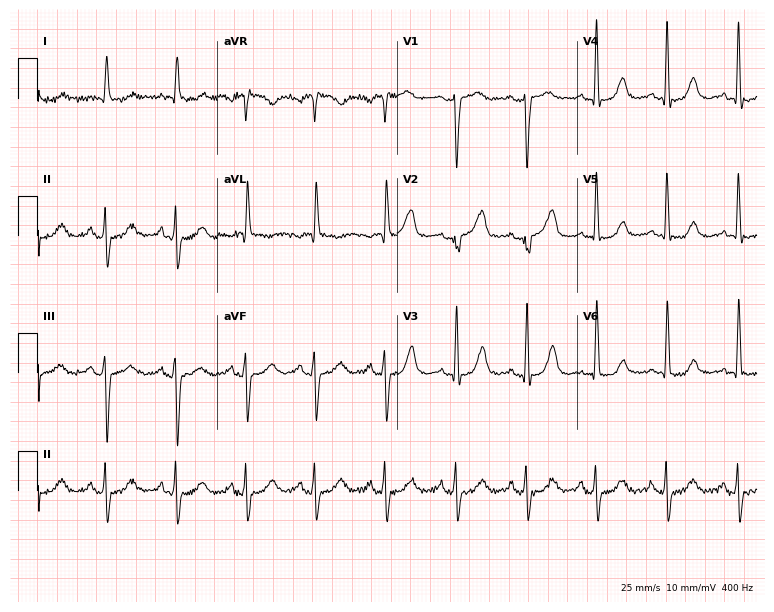
Electrocardiogram, a female patient, 79 years old. Of the six screened findings (first-degree AV block, right bundle branch block, left bundle branch block, sinus bradycardia, atrial fibrillation, sinus tachycardia), none is recorded.